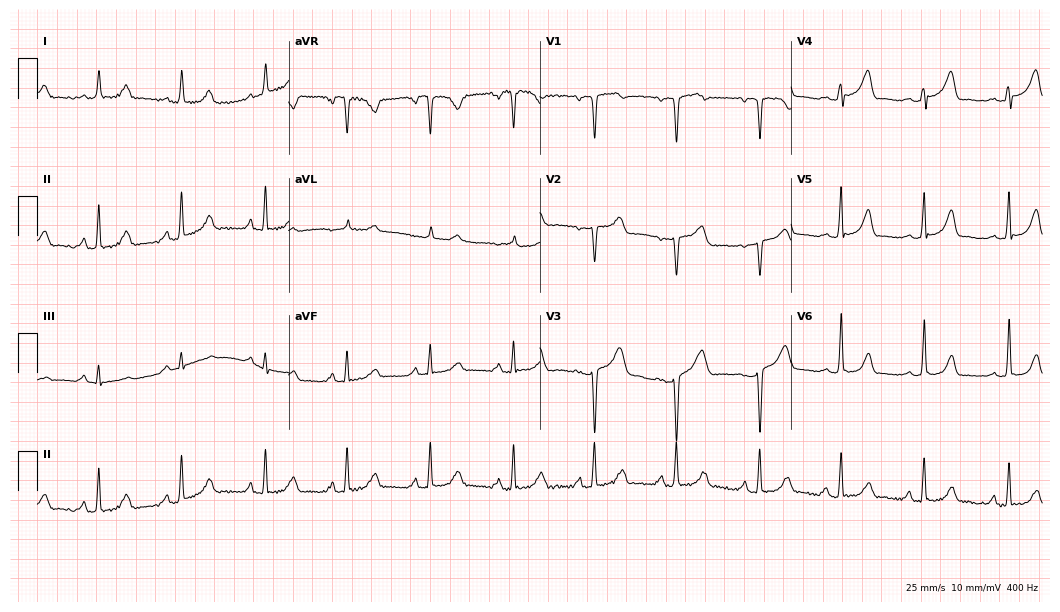
12-lead ECG from a 45-year-old female patient. No first-degree AV block, right bundle branch block (RBBB), left bundle branch block (LBBB), sinus bradycardia, atrial fibrillation (AF) or sinus tachycardia recorded for this tracing. Findings outside these six are not listed.